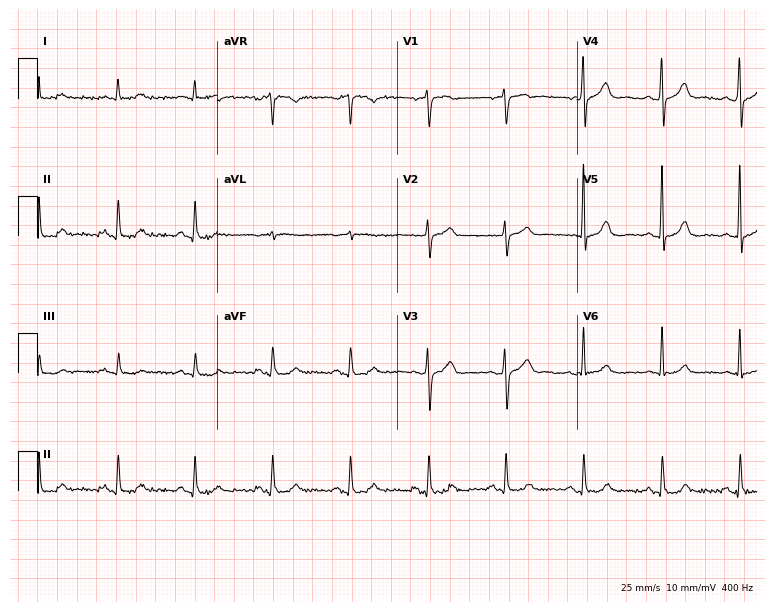
Electrocardiogram (7.3-second recording at 400 Hz), a male patient, 69 years old. Of the six screened findings (first-degree AV block, right bundle branch block, left bundle branch block, sinus bradycardia, atrial fibrillation, sinus tachycardia), none is recorded.